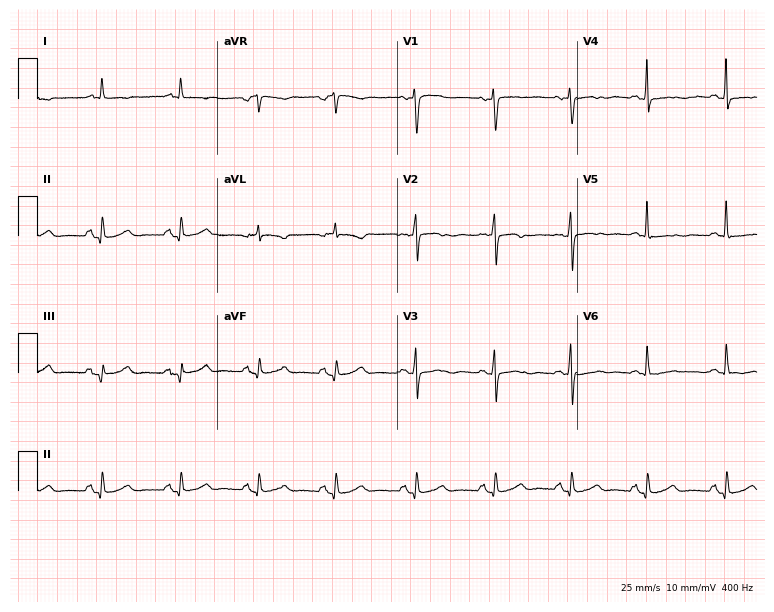
Electrocardiogram, a woman, 79 years old. Of the six screened findings (first-degree AV block, right bundle branch block, left bundle branch block, sinus bradycardia, atrial fibrillation, sinus tachycardia), none is recorded.